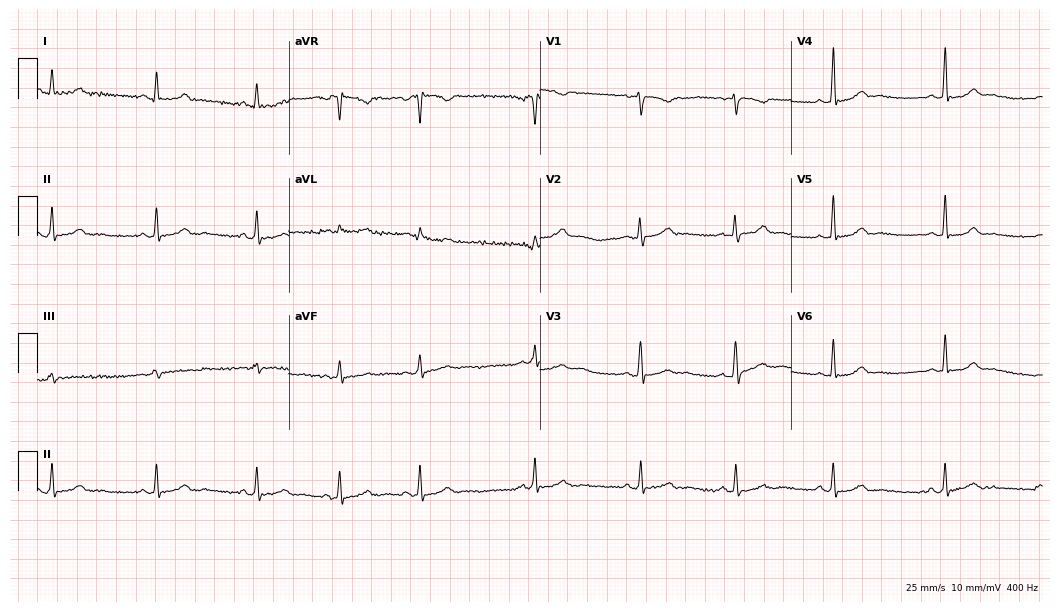
ECG (10.2-second recording at 400 Hz) — a 24-year-old female patient. Labelled as a normal ECG.